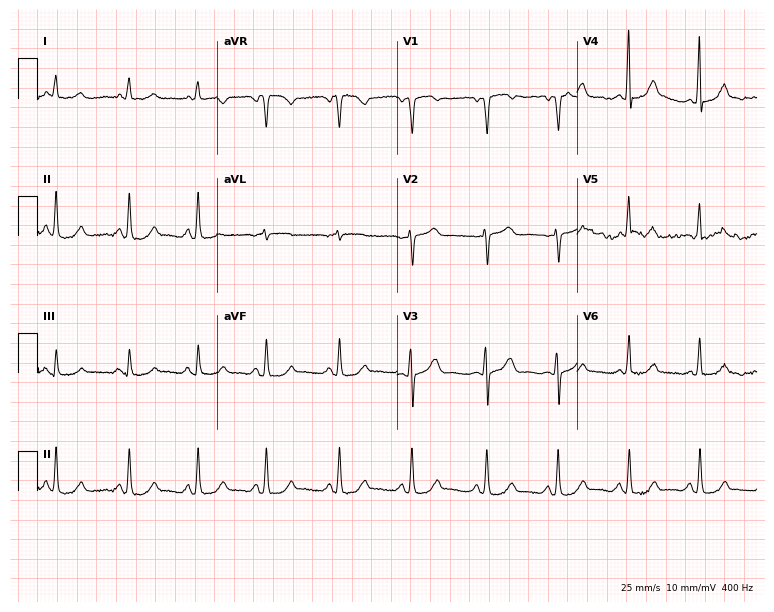
12-lead ECG from a woman, 61 years old. Labelled as a normal ECG.